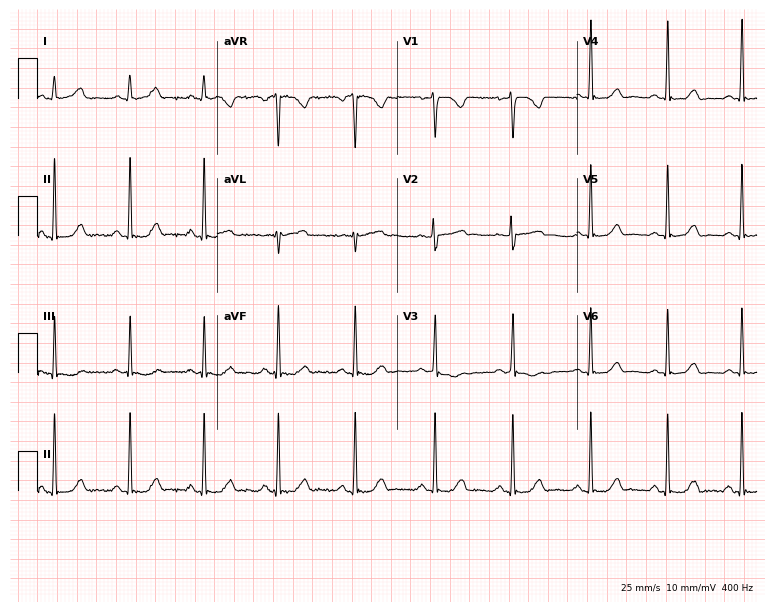
ECG — a woman, 19 years old. Labelled as a normal ECG.